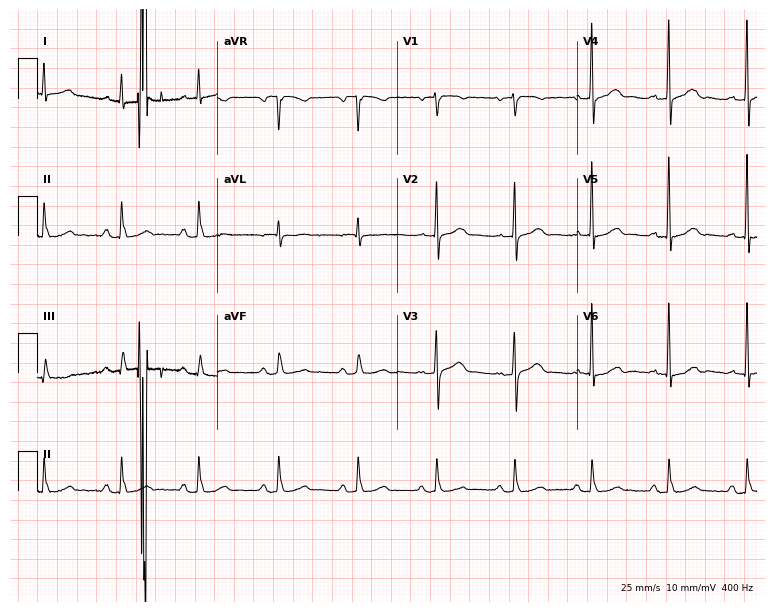
ECG — a man, 74 years old. Labelled as a normal ECG.